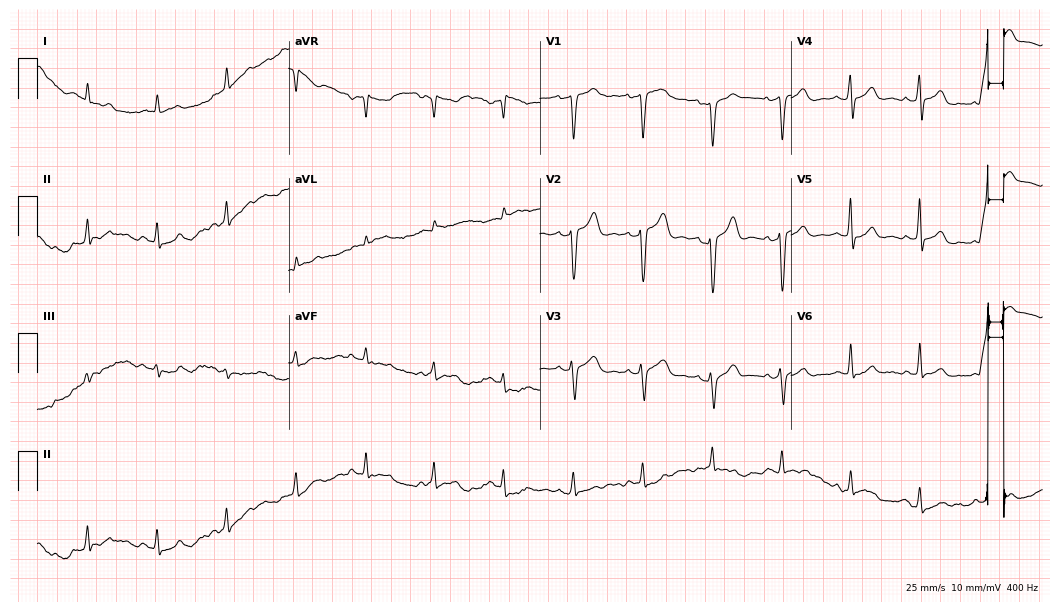
Standard 12-lead ECG recorded from a man, 50 years old. Read as a normal ECG.